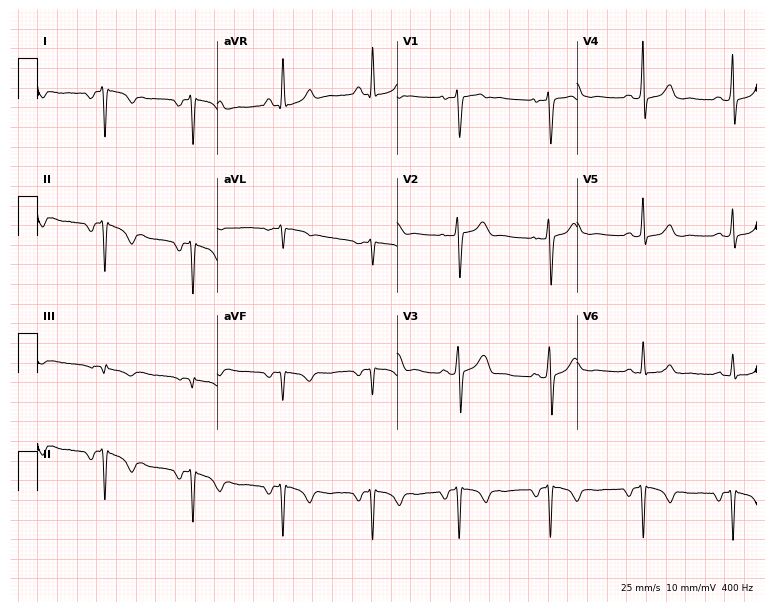
Resting 12-lead electrocardiogram (7.3-second recording at 400 Hz). Patient: a 29-year-old female. None of these six findings is recorded: first-degree AV block, right bundle branch block, left bundle branch block, sinus bradycardia, atrial fibrillation, sinus tachycardia. Other findings, if any, are not listed.